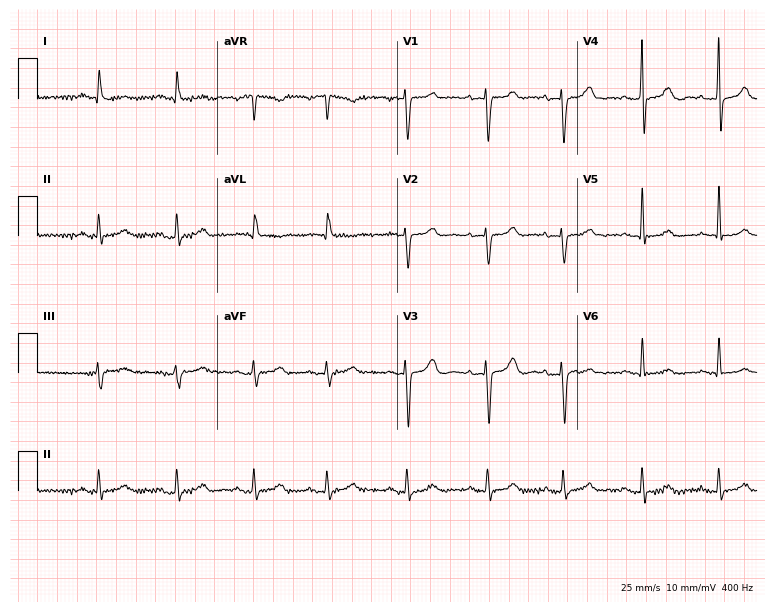
12-lead ECG from a woman, 86 years old. Labelled as a normal ECG.